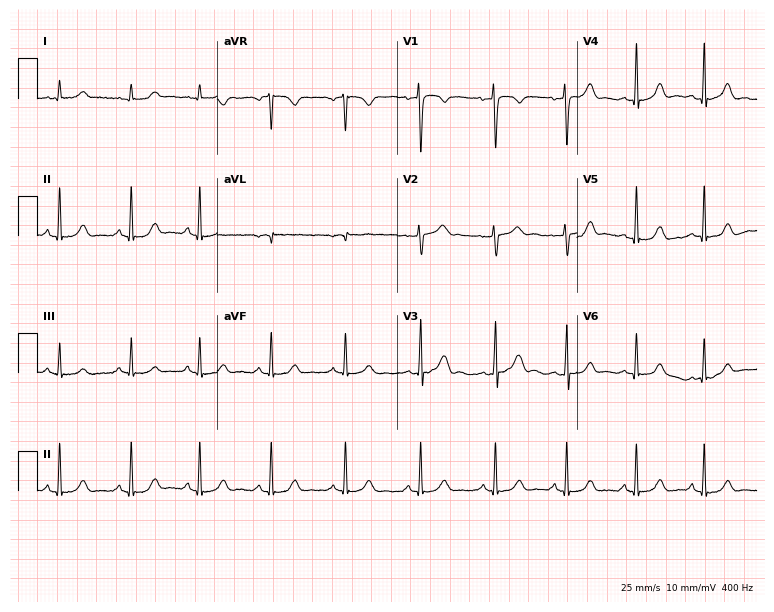
Standard 12-lead ECG recorded from a 36-year-old female patient. Read as a normal ECG.